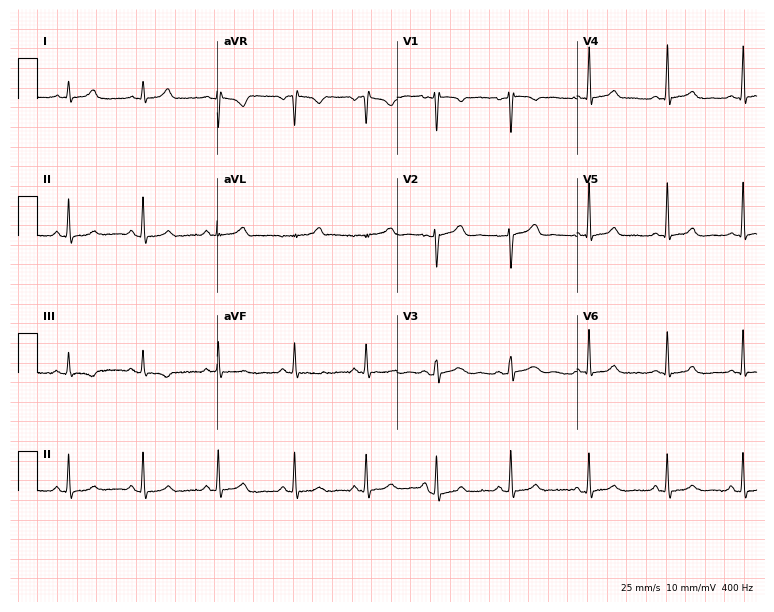
12-lead ECG from a 37-year-old female. Labelled as a normal ECG.